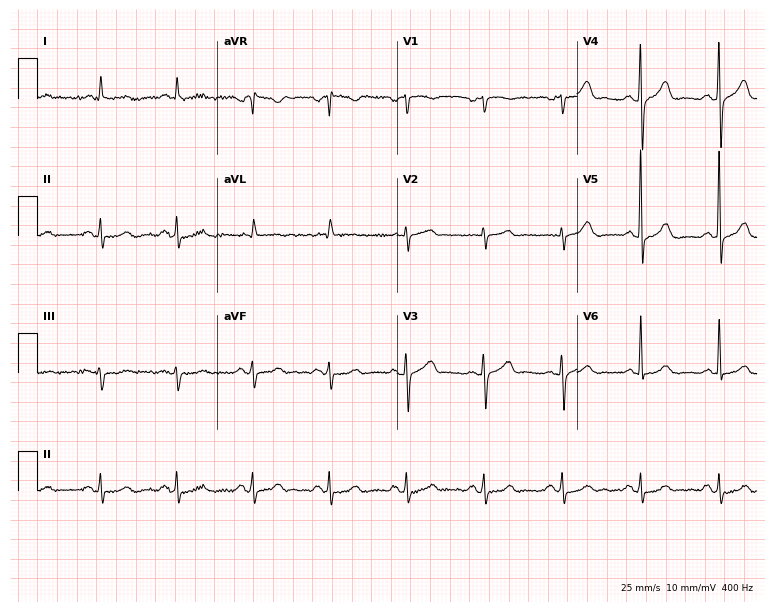
ECG — a 67-year-old male patient. Screened for six findings — first-degree AV block, right bundle branch block (RBBB), left bundle branch block (LBBB), sinus bradycardia, atrial fibrillation (AF), sinus tachycardia — none is recorded. Other findings, if any, are not listed.